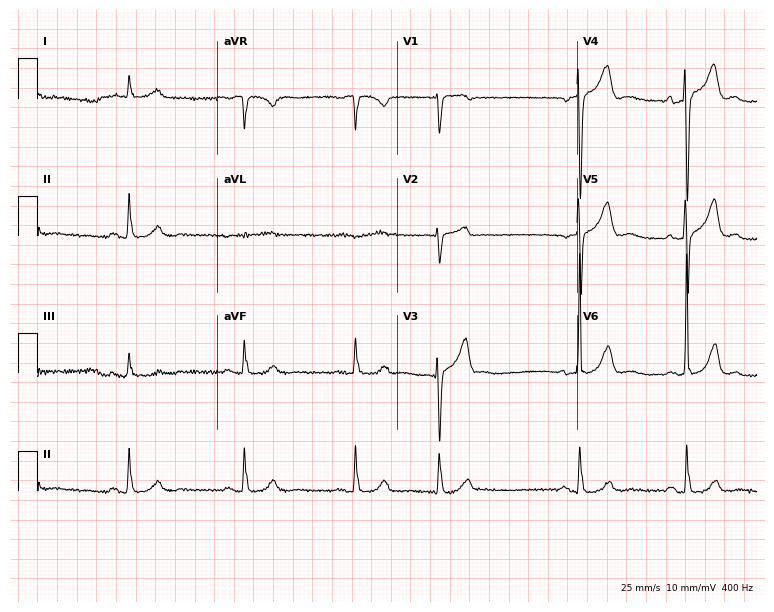
Electrocardiogram, a 75-year-old male. Of the six screened findings (first-degree AV block, right bundle branch block, left bundle branch block, sinus bradycardia, atrial fibrillation, sinus tachycardia), none is recorded.